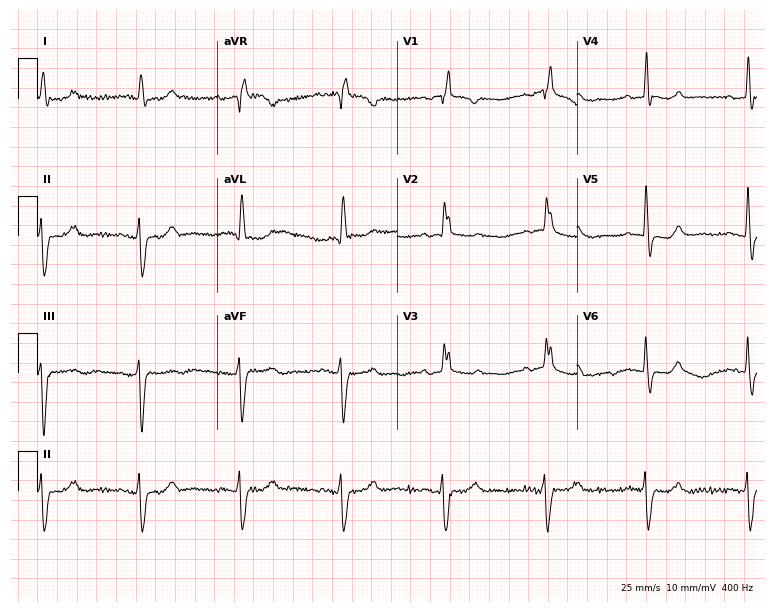
Resting 12-lead electrocardiogram. Patient: a 77-year-old female. The tracing shows right bundle branch block.